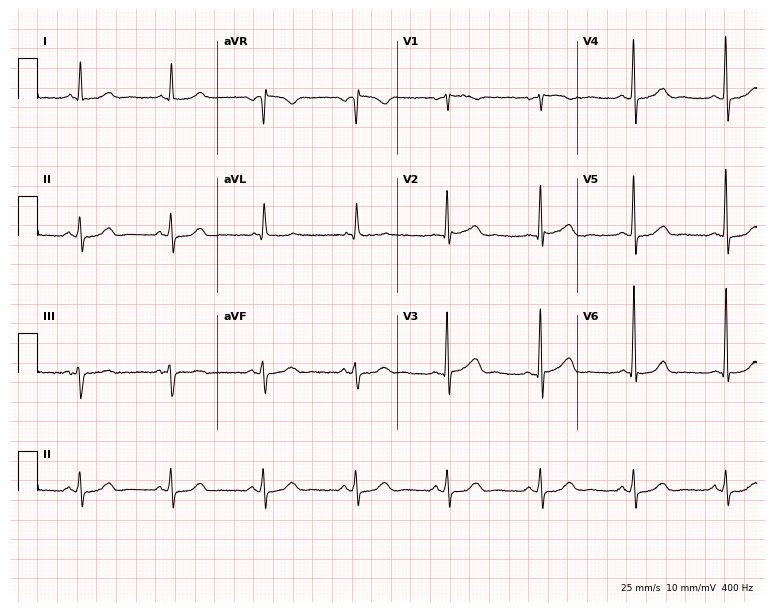
Standard 12-lead ECG recorded from a 72-year-old female patient (7.3-second recording at 400 Hz). Read as a normal ECG.